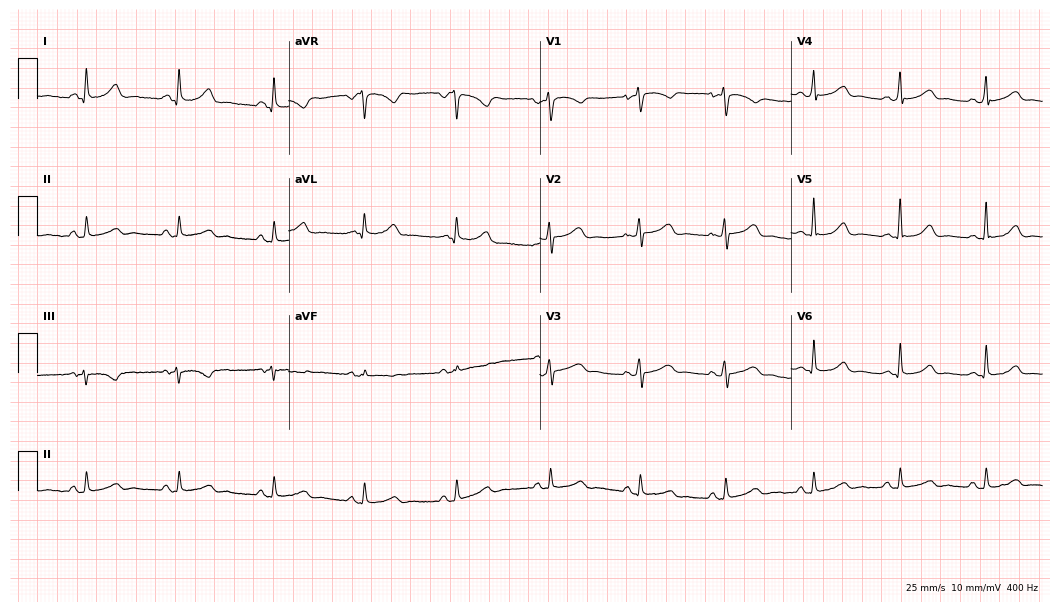
ECG — a 29-year-old female. Labelled as a normal ECG.